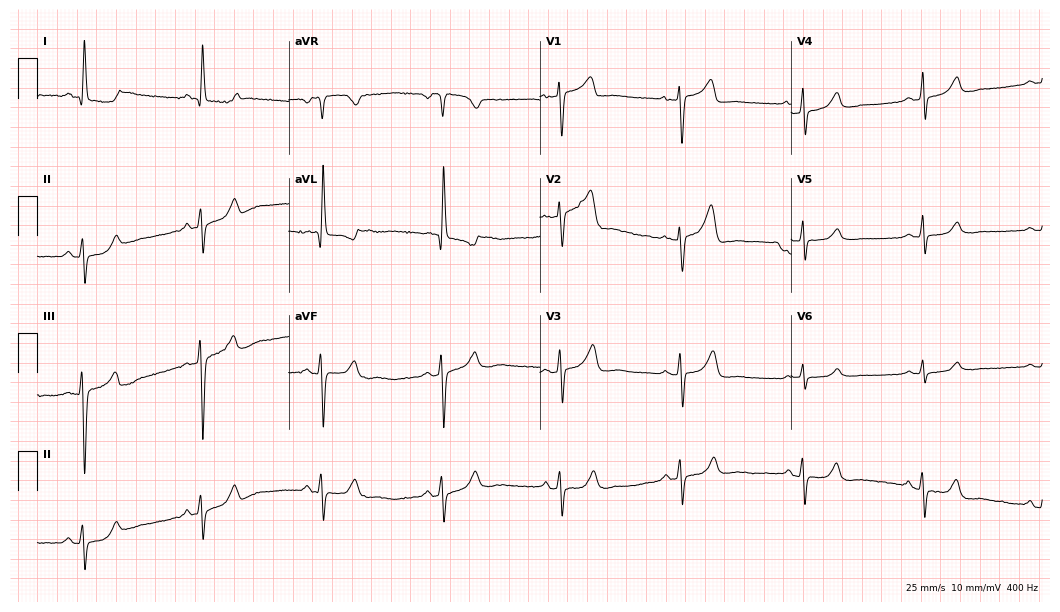
Resting 12-lead electrocardiogram. Patient: a female, 63 years old. None of these six findings is recorded: first-degree AV block, right bundle branch block (RBBB), left bundle branch block (LBBB), sinus bradycardia, atrial fibrillation (AF), sinus tachycardia. Only these six findings were labelled.